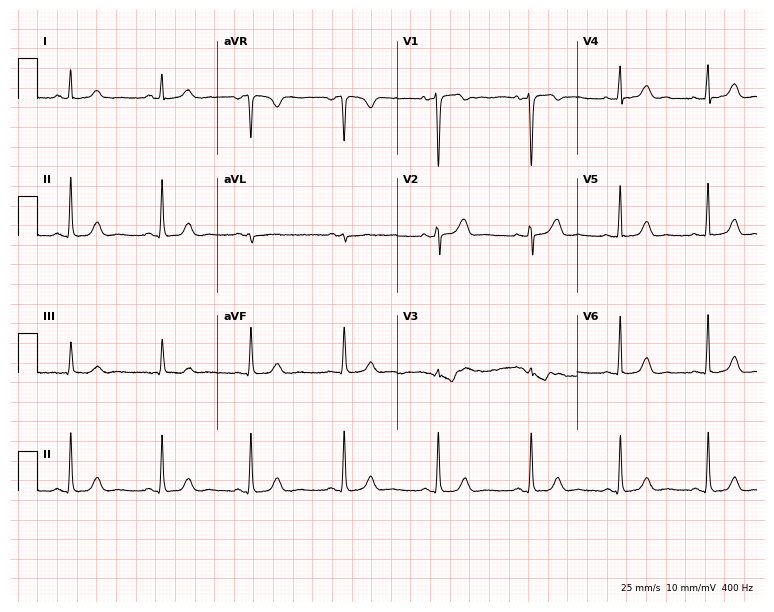
12-lead ECG (7.3-second recording at 400 Hz) from a woman, 39 years old. Labelled as a normal ECG.